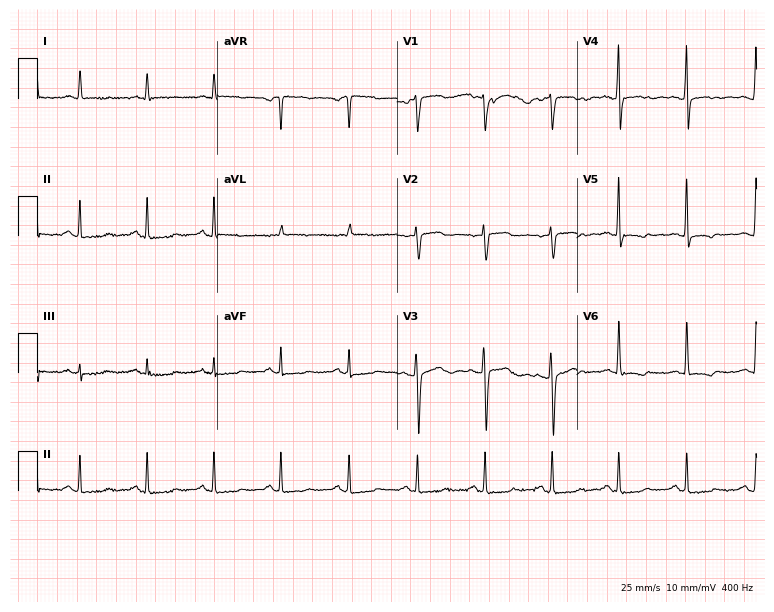
12-lead ECG from a 70-year-old female patient. Screened for six findings — first-degree AV block, right bundle branch block, left bundle branch block, sinus bradycardia, atrial fibrillation, sinus tachycardia — none is recorded.